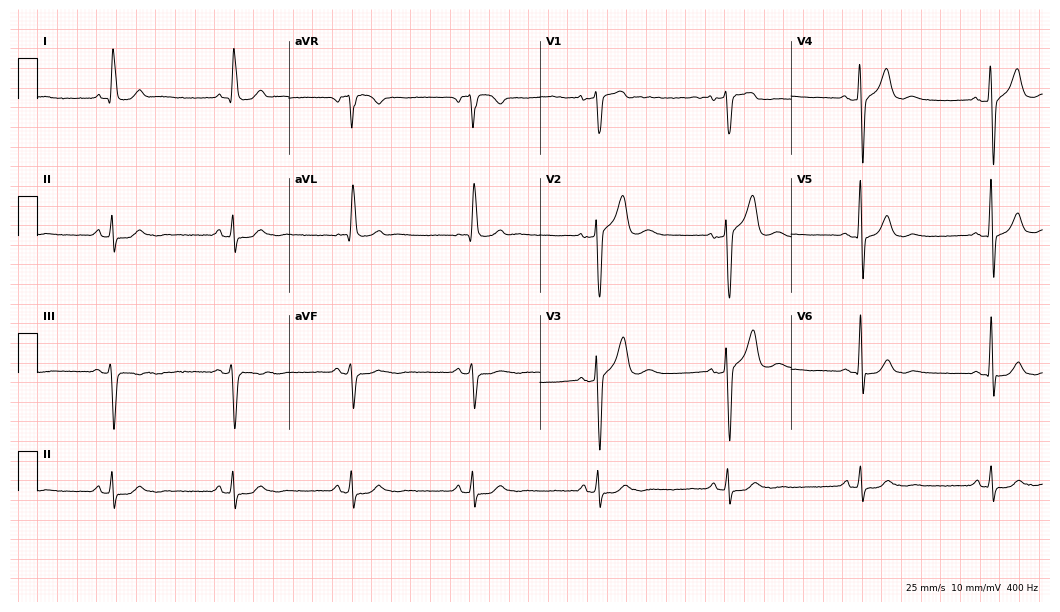
12-lead ECG from a male, 73 years old. Shows sinus bradycardia (a sinus rate of 50 beats per minute or less).